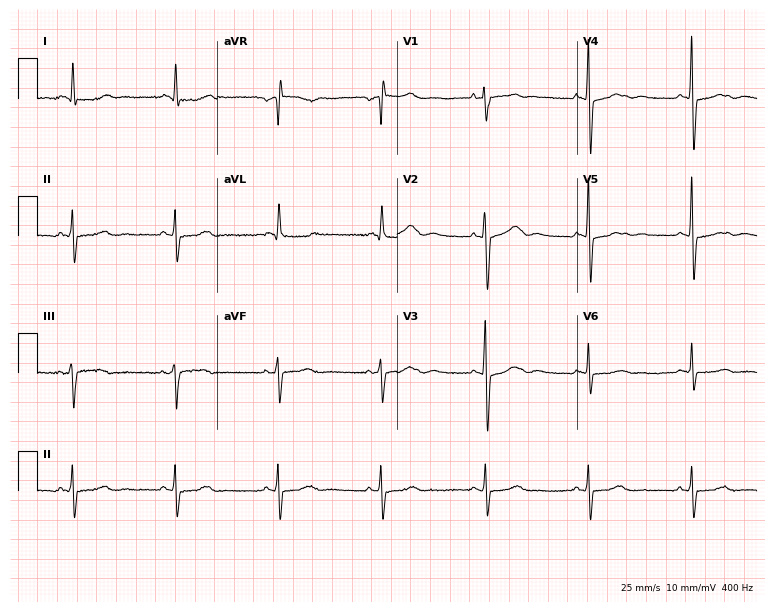
12-lead ECG from a female patient, 78 years old (7.3-second recording at 400 Hz). Recorded interpretation: within normal limits.